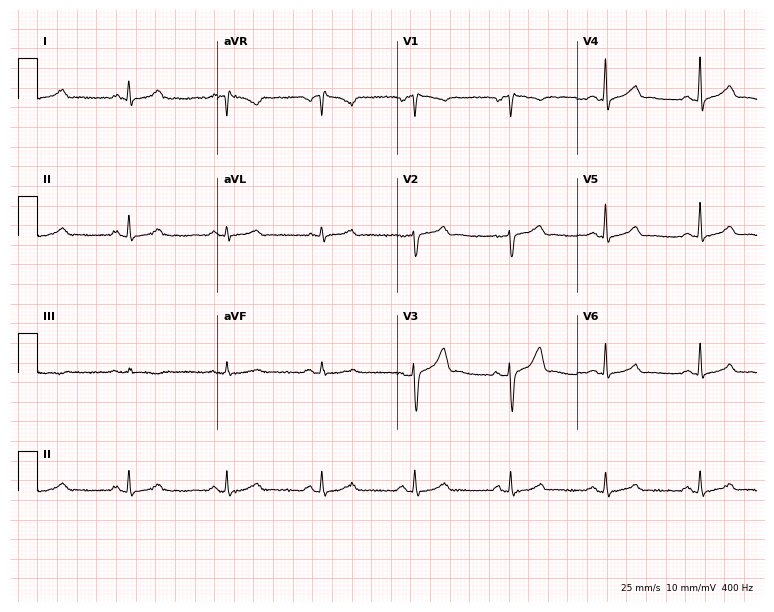
12-lead ECG from a male patient, 49 years old. Recorded interpretation: within normal limits.